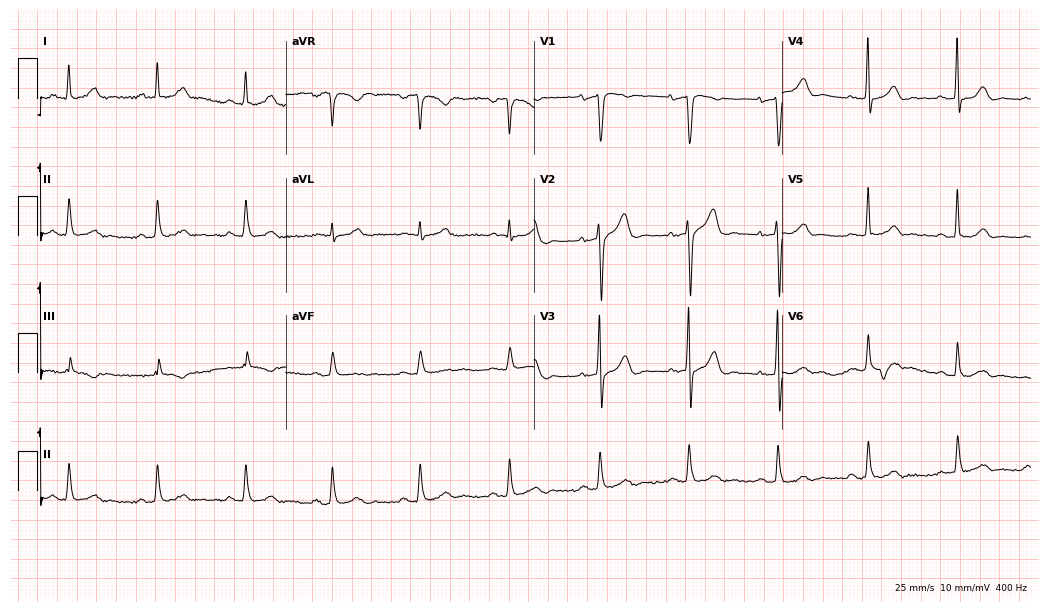
Resting 12-lead electrocardiogram (10.1-second recording at 400 Hz). Patient: a male, 50 years old. None of these six findings is recorded: first-degree AV block, right bundle branch block, left bundle branch block, sinus bradycardia, atrial fibrillation, sinus tachycardia. Other findings, if any, are not listed.